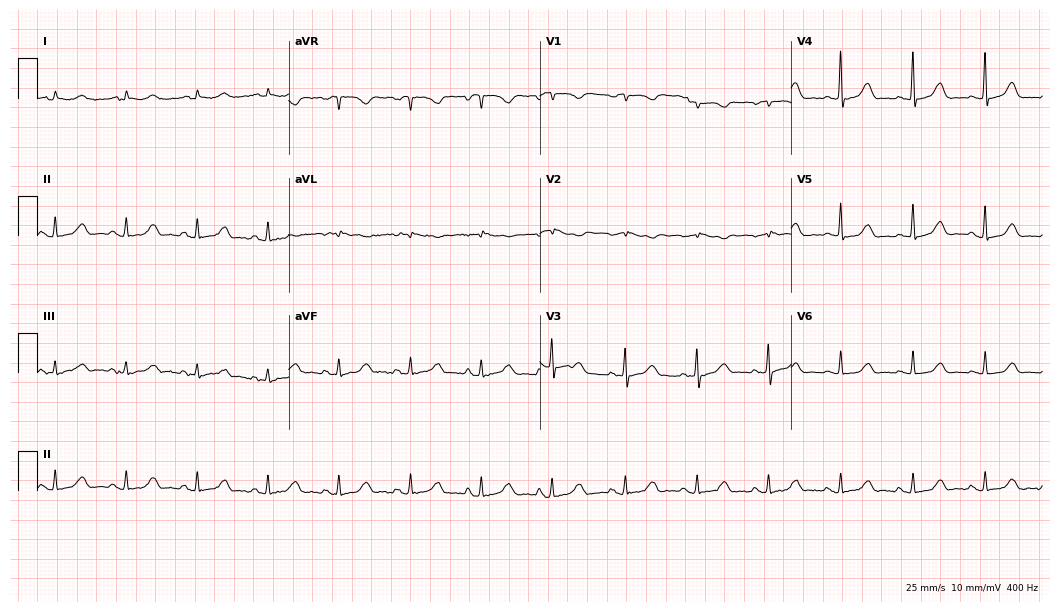
ECG (10.2-second recording at 400 Hz) — an 83-year-old female. Labelled as a normal ECG.